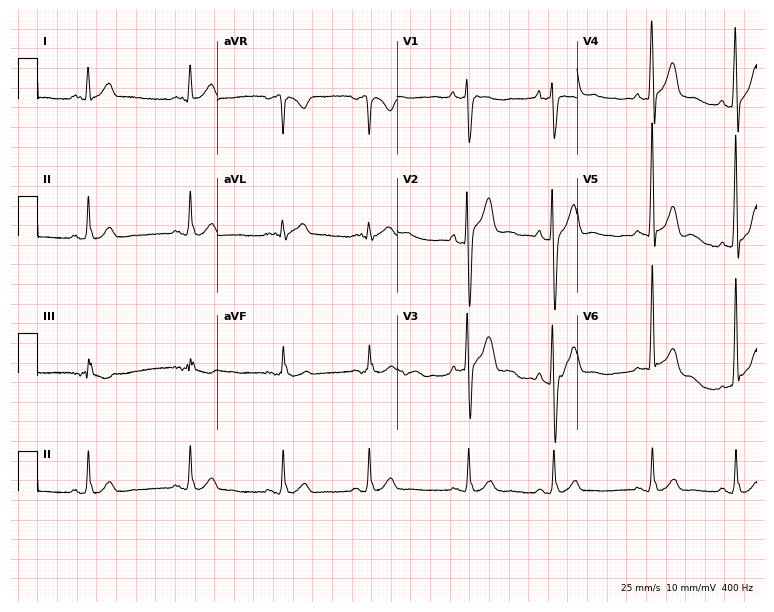
12-lead ECG (7.3-second recording at 400 Hz) from a 60-year-old man. Screened for six findings — first-degree AV block, right bundle branch block, left bundle branch block, sinus bradycardia, atrial fibrillation, sinus tachycardia — none is recorded. Other findings, if any, are not listed.